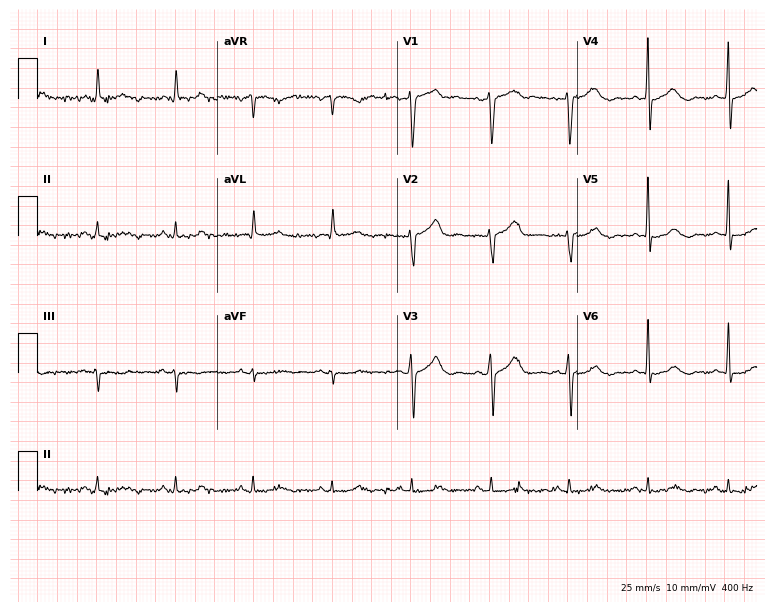
Resting 12-lead electrocardiogram (7.3-second recording at 400 Hz). Patient: a 71-year-old man. Read as a normal ECG.